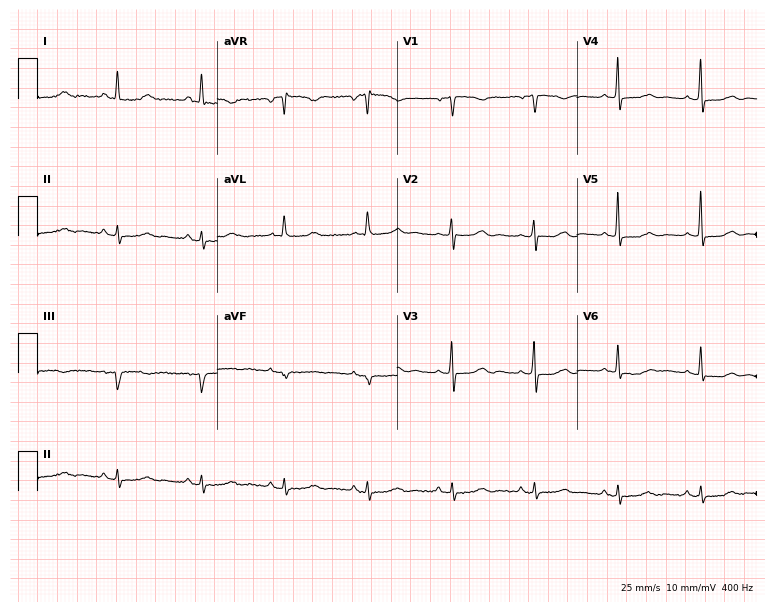
ECG (7.3-second recording at 400 Hz) — a 77-year-old female. Screened for six findings — first-degree AV block, right bundle branch block, left bundle branch block, sinus bradycardia, atrial fibrillation, sinus tachycardia — none is recorded. Only these six findings were labelled.